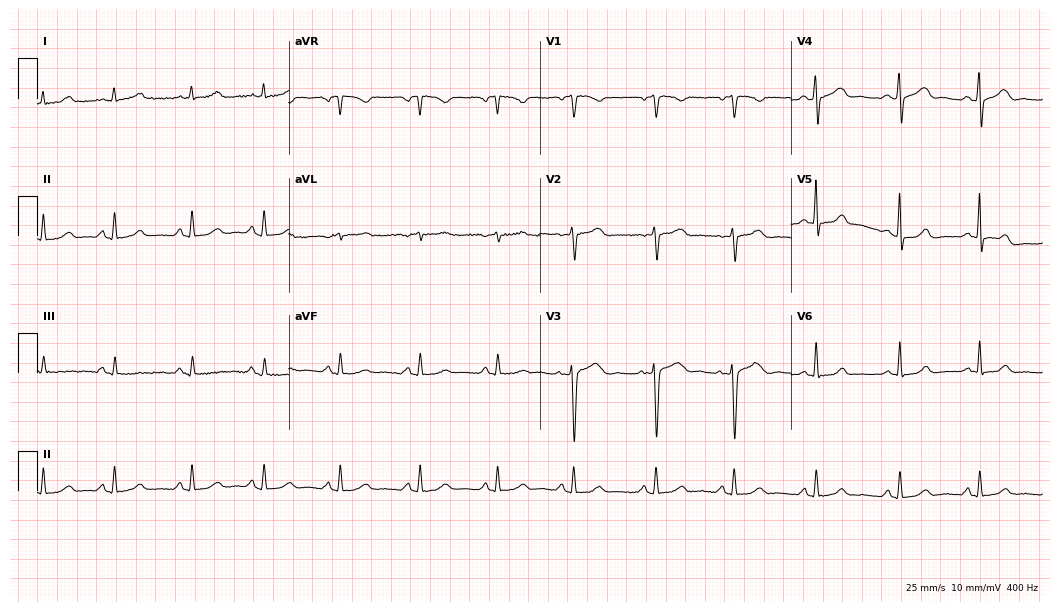
Electrocardiogram (10.2-second recording at 400 Hz), a 22-year-old female patient. Overall reading on record: normal ECG.